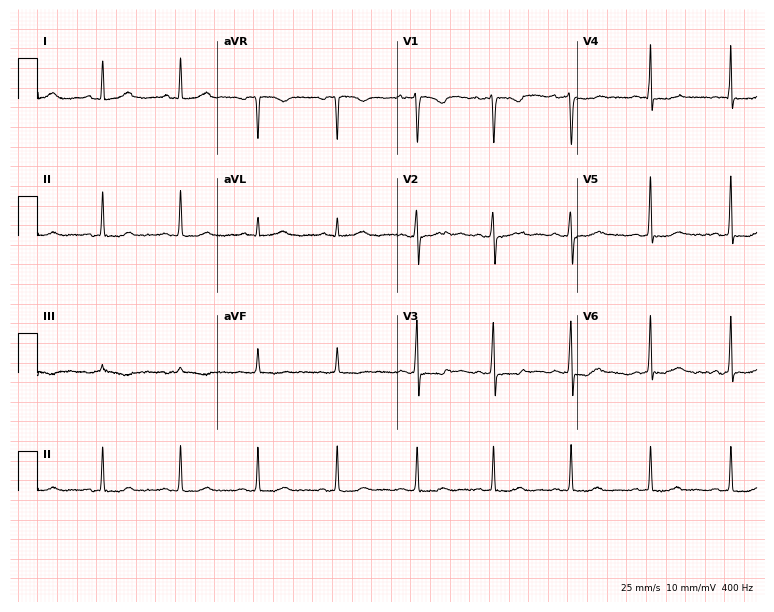
12-lead ECG from a 27-year-old female. No first-degree AV block, right bundle branch block (RBBB), left bundle branch block (LBBB), sinus bradycardia, atrial fibrillation (AF) or sinus tachycardia recorded for this tracing.